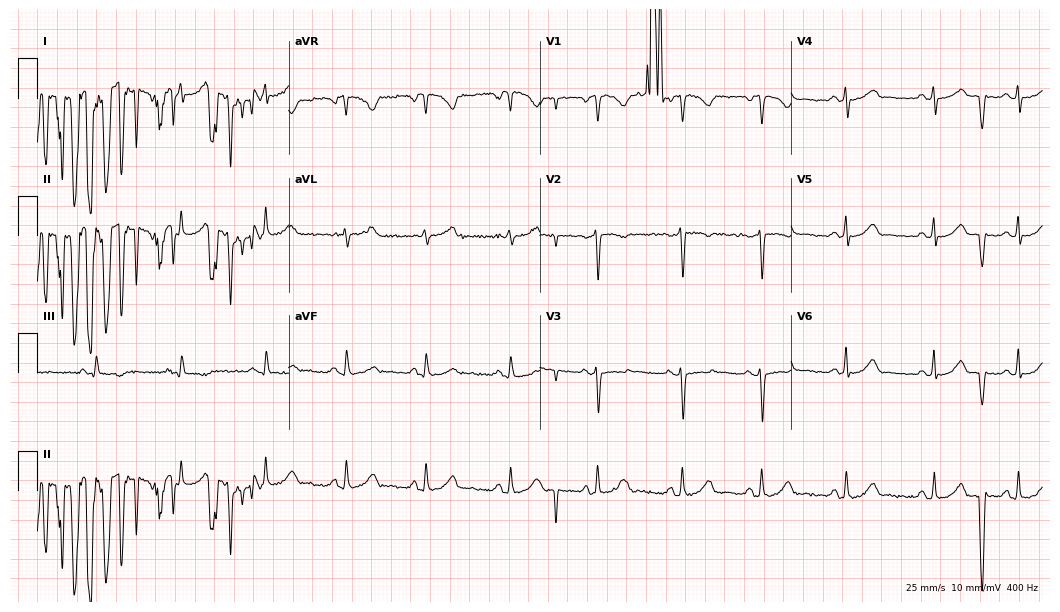
12-lead ECG from a 23-year-old female. Screened for six findings — first-degree AV block, right bundle branch block (RBBB), left bundle branch block (LBBB), sinus bradycardia, atrial fibrillation (AF), sinus tachycardia — none is recorded.